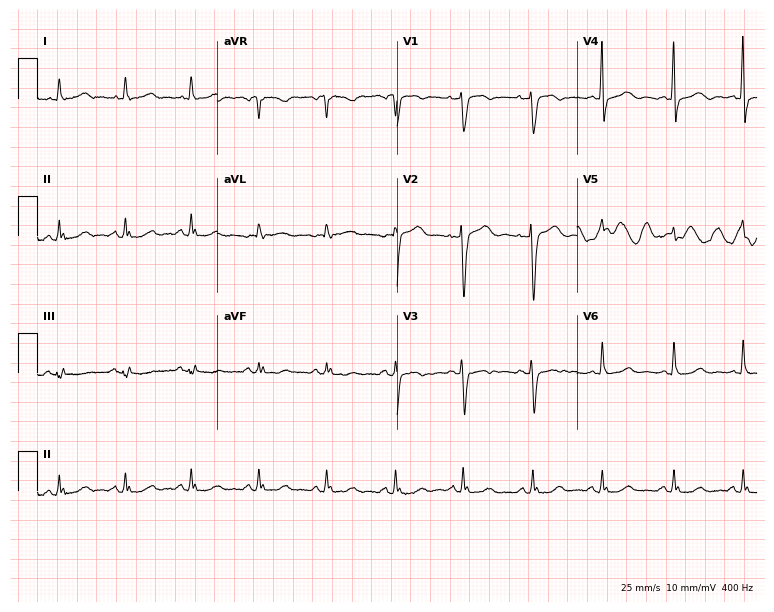
Standard 12-lead ECG recorded from a 73-year-old female (7.3-second recording at 400 Hz). None of these six findings is recorded: first-degree AV block, right bundle branch block (RBBB), left bundle branch block (LBBB), sinus bradycardia, atrial fibrillation (AF), sinus tachycardia.